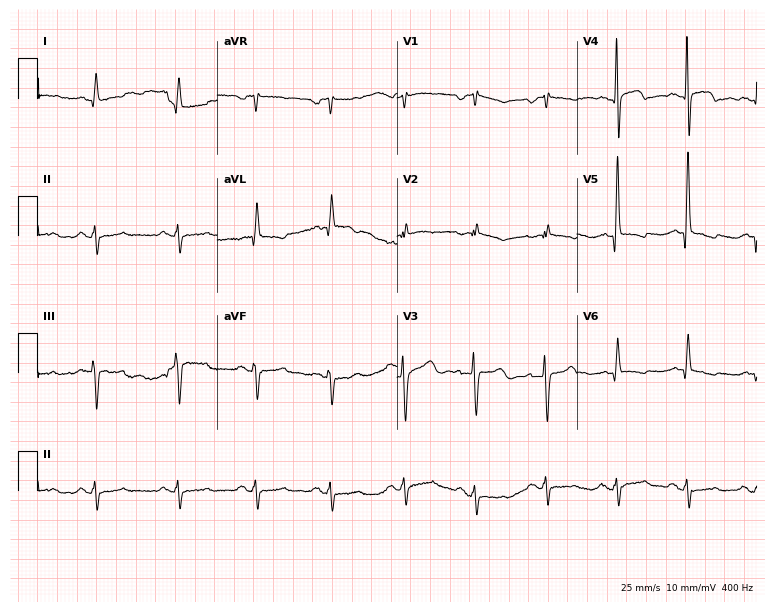
ECG (7.3-second recording at 400 Hz) — a male patient, 33 years old. Screened for six findings — first-degree AV block, right bundle branch block (RBBB), left bundle branch block (LBBB), sinus bradycardia, atrial fibrillation (AF), sinus tachycardia — none is recorded.